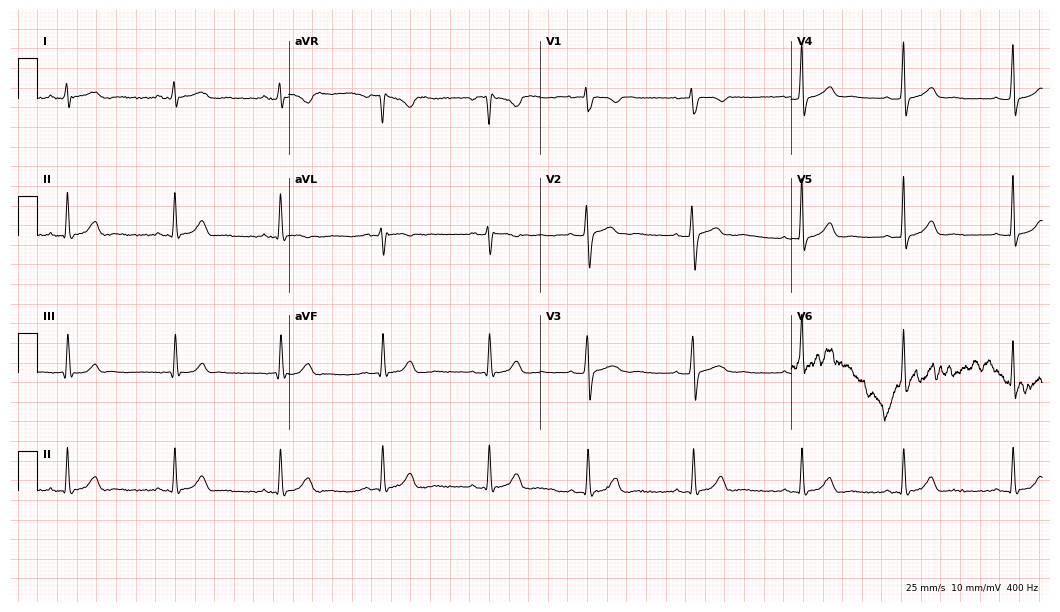
12-lead ECG from a woman, 35 years old (10.2-second recording at 400 Hz). Recorded interpretation: within normal limits.